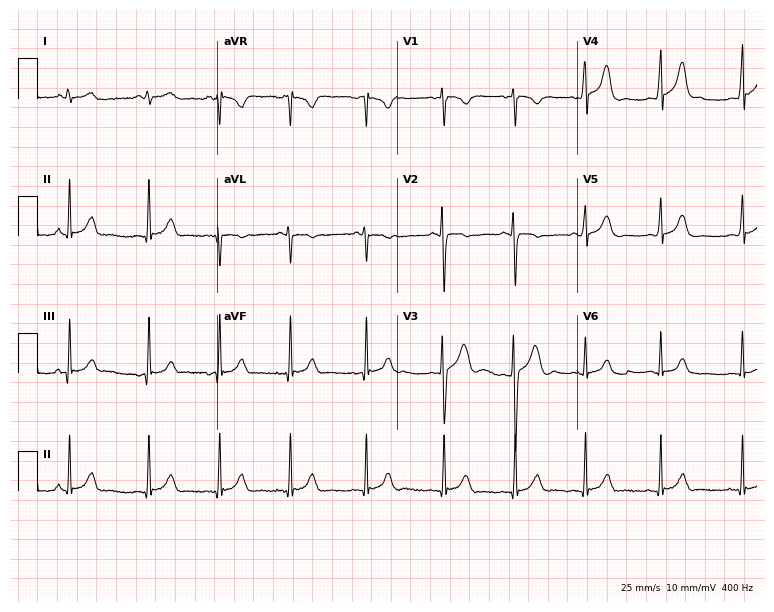
Resting 12-lead electrocardiogram. Patient: a female, 19 years old. Read as a normal ECG.